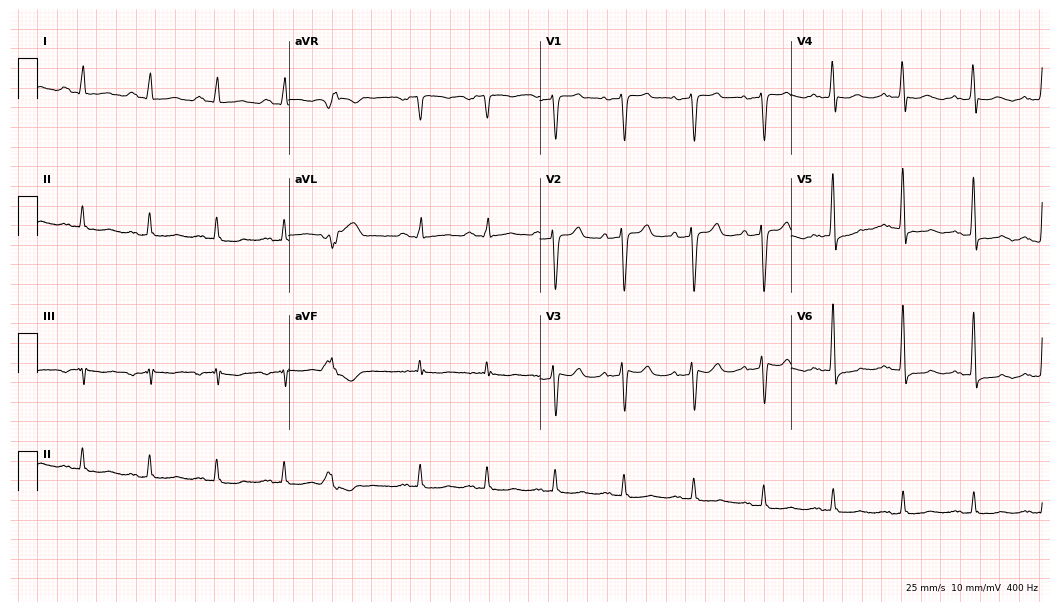
ECG — a man, 55 years old. Screened for six findings — first-degree AV block, right bundle branch block, left bundle branch block, sinus bradycardia, atrial fibrillation, sinus tachycardia — none is recorded.